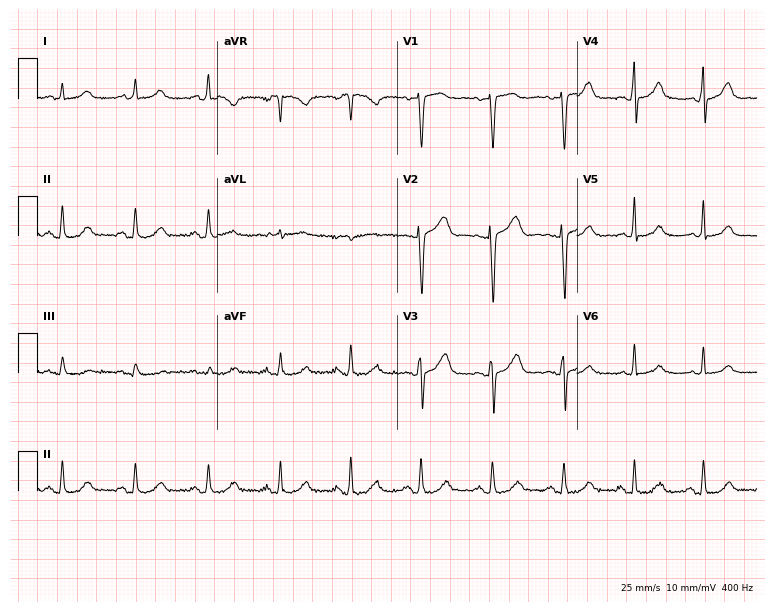
12-lead ECG from a 57-year-old female. Recorded interpretation: within normal limits.